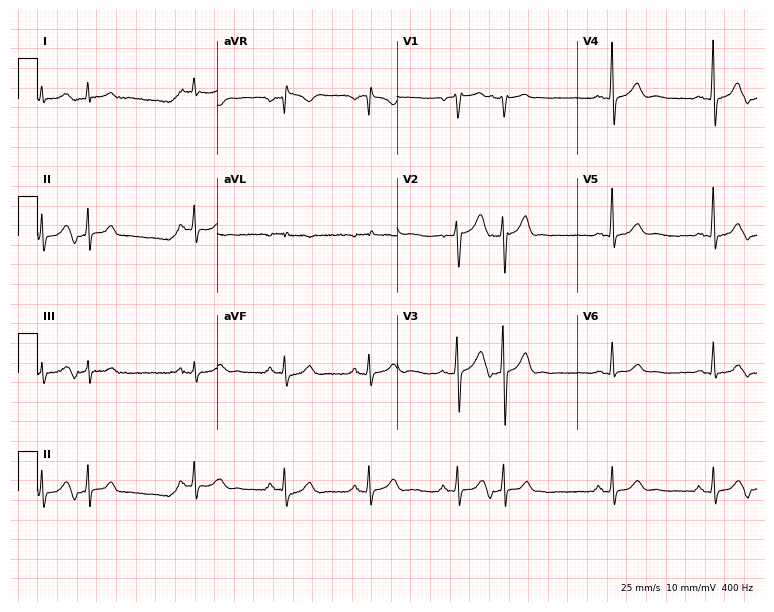
ECG (7.3-second recording at 400 Hz) — a 60-year-old male. Labelled as a normal ECG.